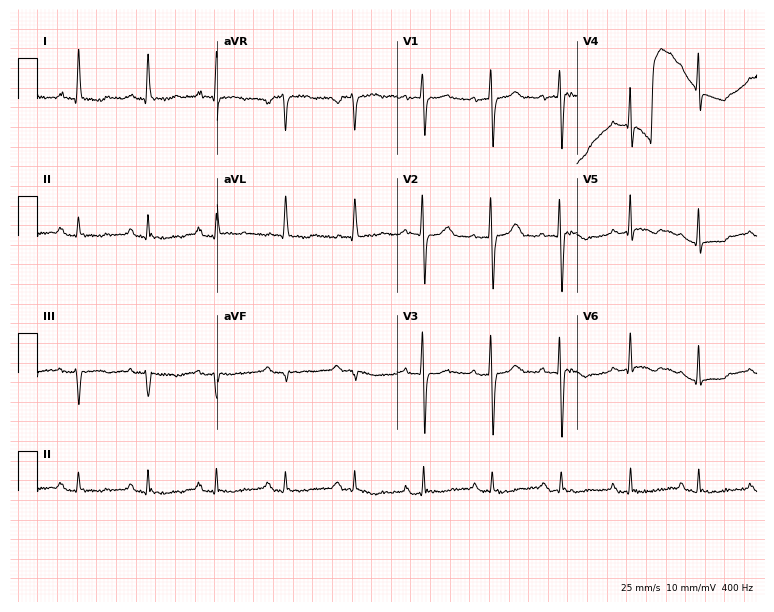
ECG — a 69-year-old woman. Screened for six findings — first-degree AV block, right bundle branch block (RBBB), left bundle branch block (LBBB), sinus bradycardia, atrial fibrillation (AF), sinus tachycardia — none is recorded. Other findings, if any, are not listed.